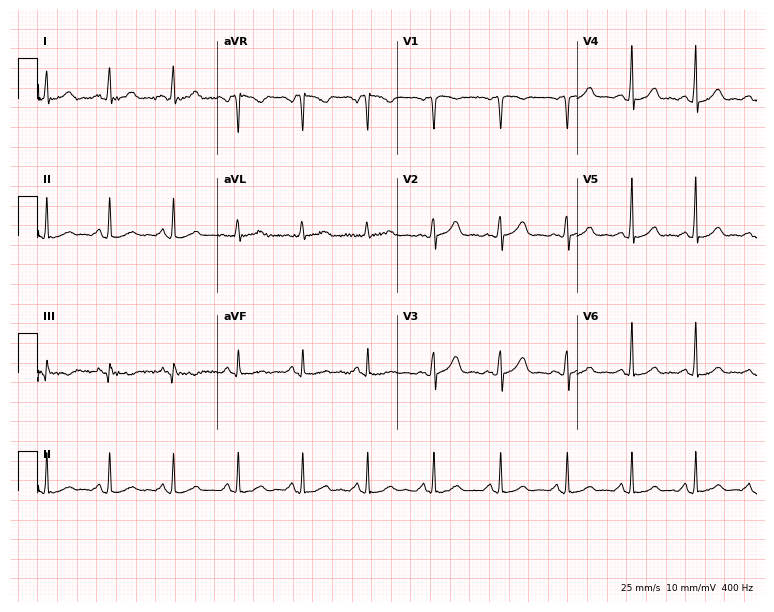
12-lead ECG from a 40-year-old female. Recorded interpretation: within normal limits.